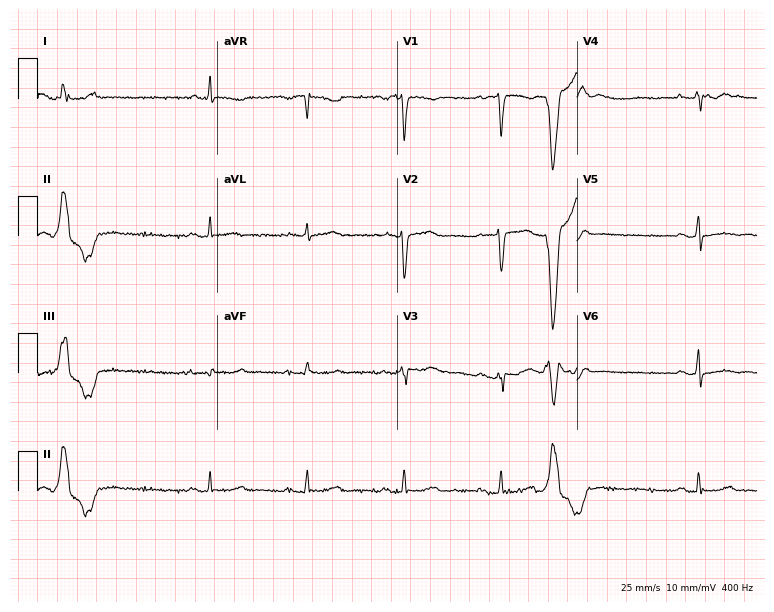
Resting 12-lead electrocardiogram (7.3-second recording at 400 Hz). Patient: a woman, 74 years old. None of these six findings is recorded: first-degree AV block, right bundle branch block, left bundle branch block, sinus bradycardia, atrial fibrillation, sinus tachycardia.